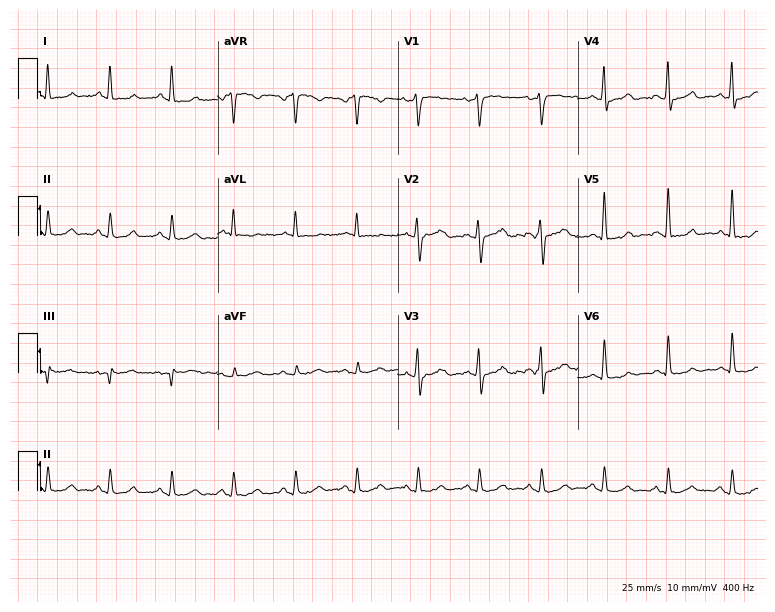
Resting 12-lead electrocardiogram (7.3-second recording at 400 Hz). Patient: a 52-year-old man. Read as a normal ECG.